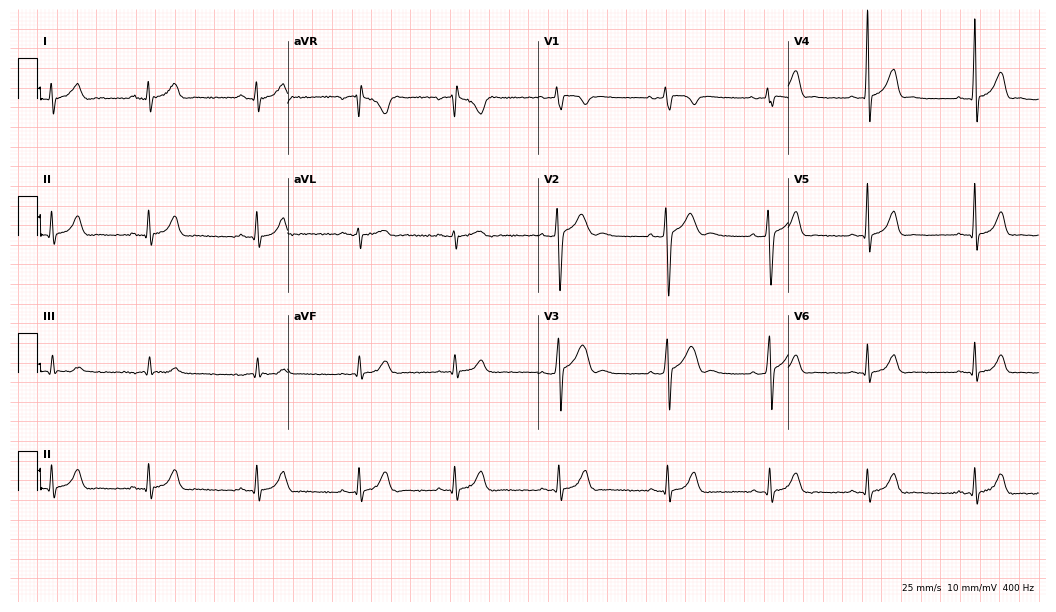
12-lead ECG (10.2-second recording at 400 Hz) from a 20-year-old man. Screened for six findings — first-degree AV block, right bundle branch block, left bundle branch block, sinus bradycardia, atrial fibrillation, sinus tachycardia — none is recorded. Only these six findings were labelled.